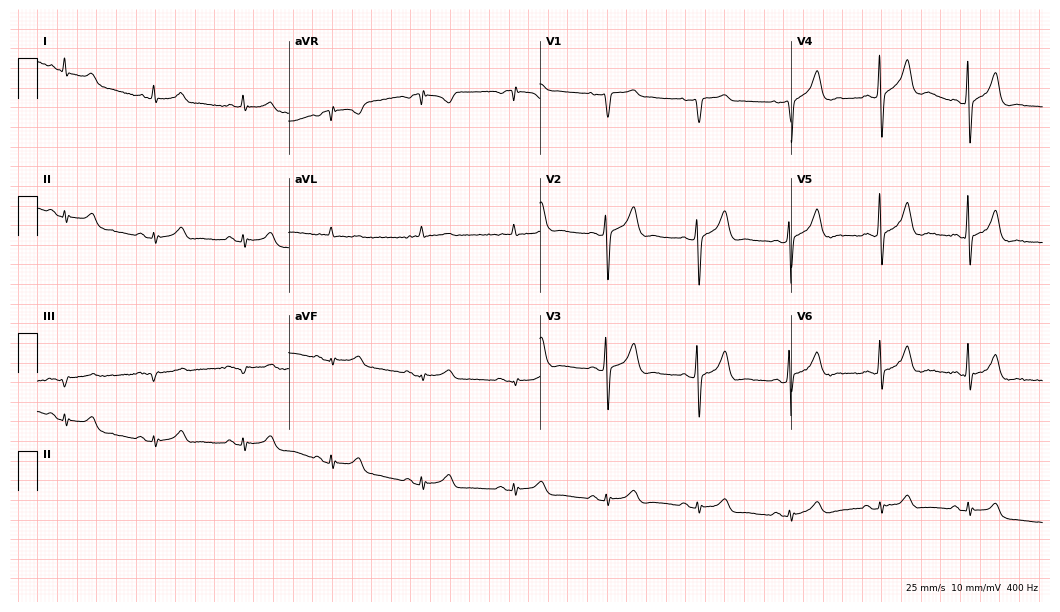
ECG — a 71-year-old male patient. Labelled as a normal ECG.